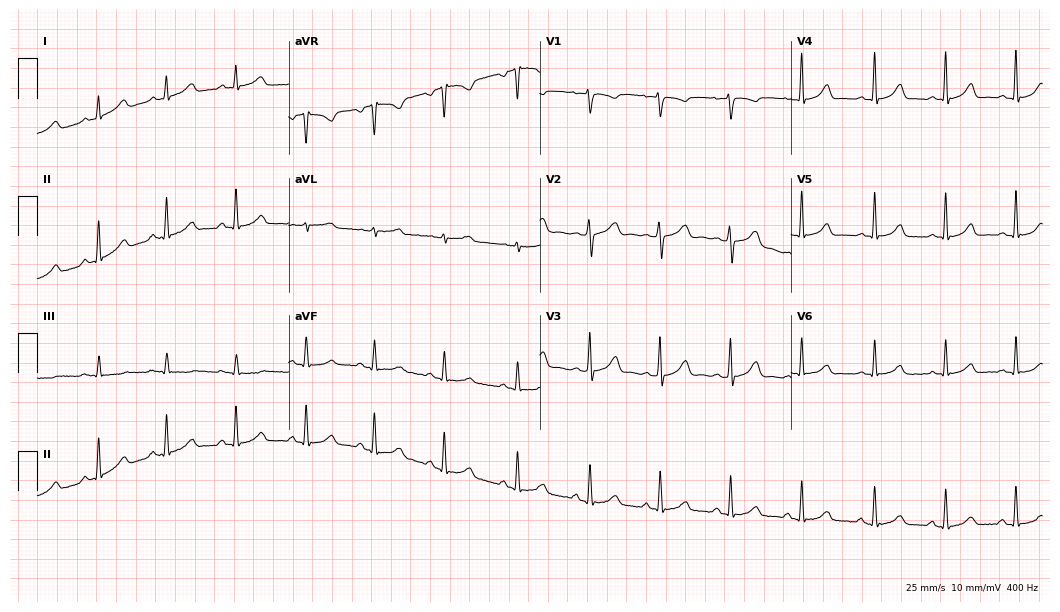
12-lead ECG from a 31-year-old woman. Labelled as a normal ECG.